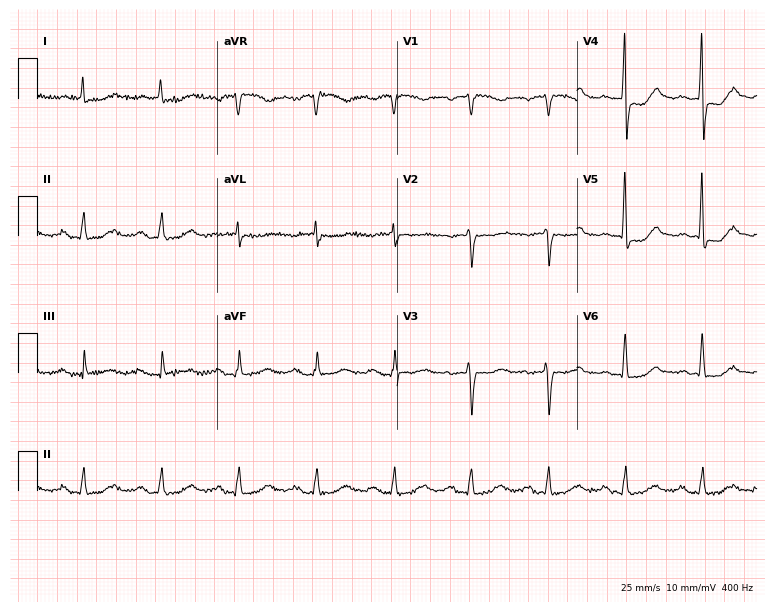
12-lead ECG from a 78-year-old woman (7.3-second recording at 400 Hz). No first-degree AV block, right bundle branch block (RBBB), left bundle branch block (LBBB), sinus bradycardia, atrial fibrillation (AF) or sinus tachycardia recorded for this tracing.